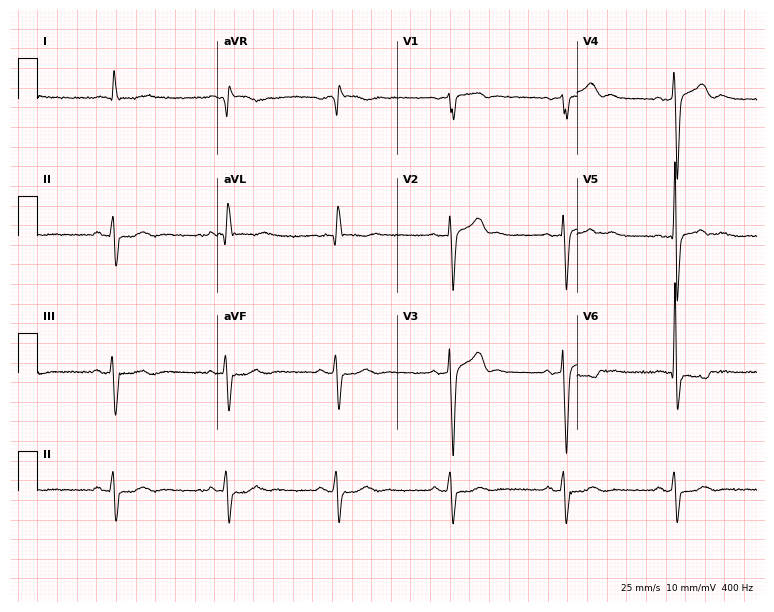
12-lead ECG (7.3-second recording at 400 Hz) from a 63-year-old man. Screened for six findings — first-degree AV block, right bundle branch block, left bundle branch block, sinus bradycardia, atrial fibrillation, sinus tachycardia — none is recorded. Other findings, if any, are not listed.